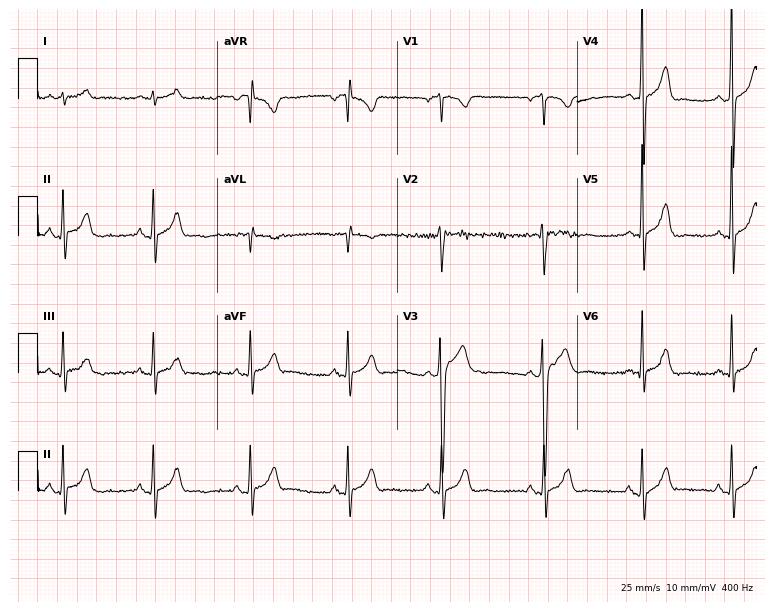
12-lead ECG from a man, 20 years old. Recorded interpretation: within normal limits.